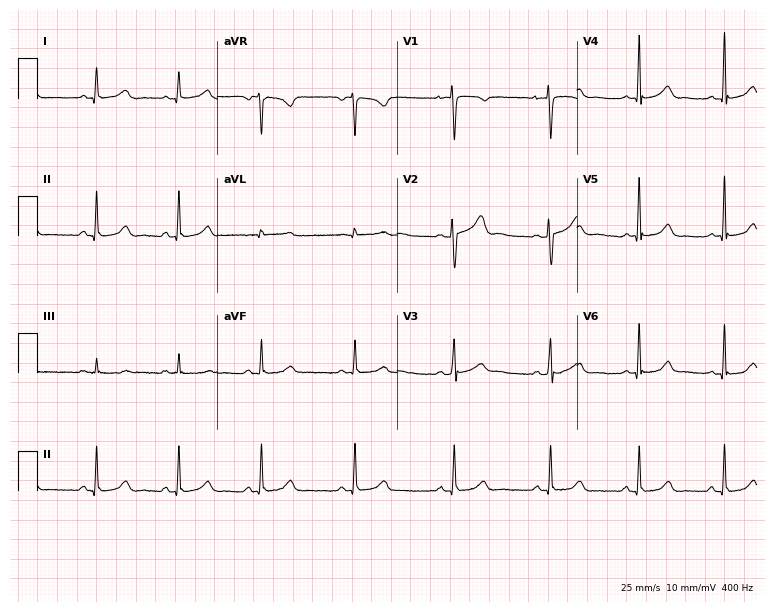
Resting 12-lead electrocardiogram. Patient: a female, 28 years old. Read as a normal ECG.